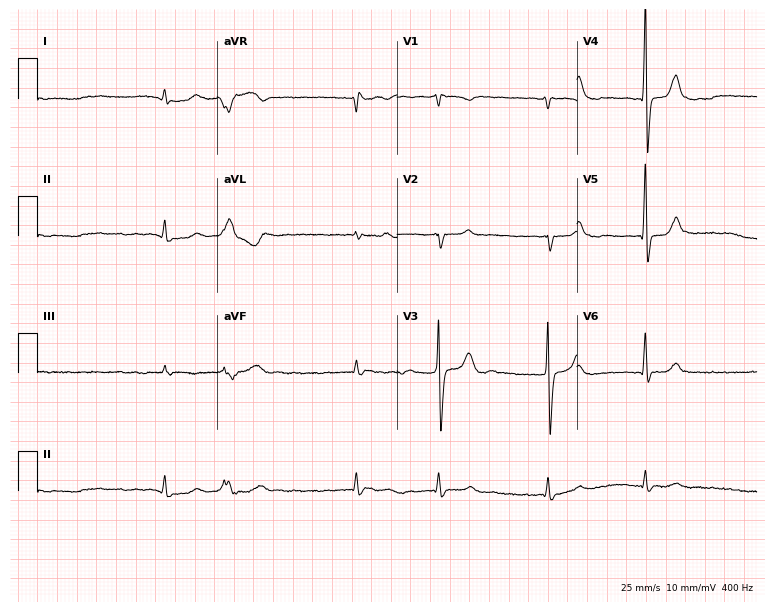
Standard 12-lead ECG recorded from an 85-year-old man. The tracing shows atrial fibrillation (AF).